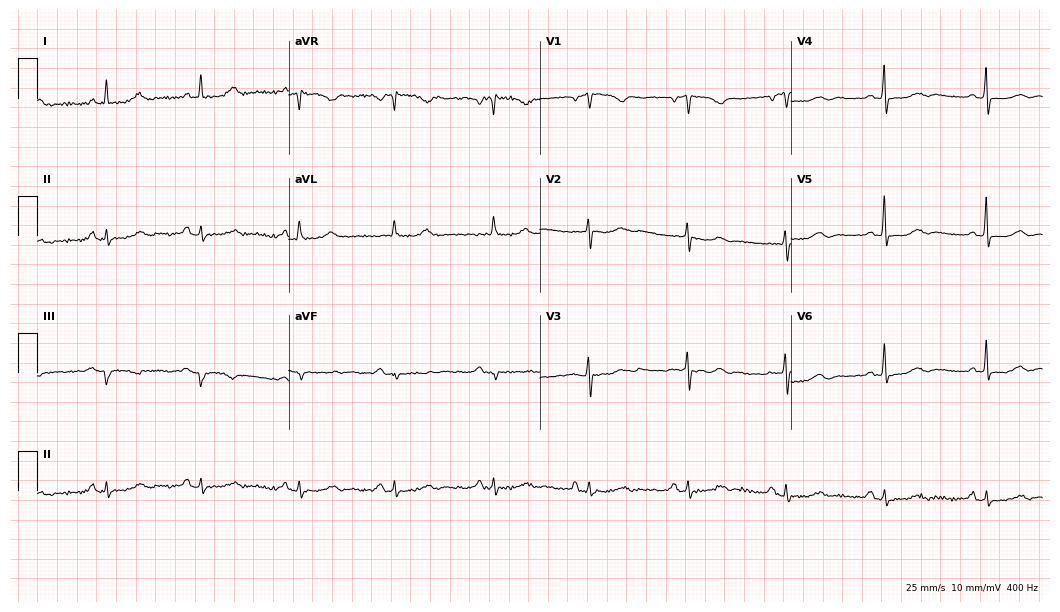
ECG — an 80-year-old female. Screened for six findings — first-degree AV block, right bundle branch block (RBBB), left bundle branch block (LBBB), sinus bradycardia, atrial fibrillation (AF), sinus tachycardia — none is recorded. Findings outside these six are not listed.